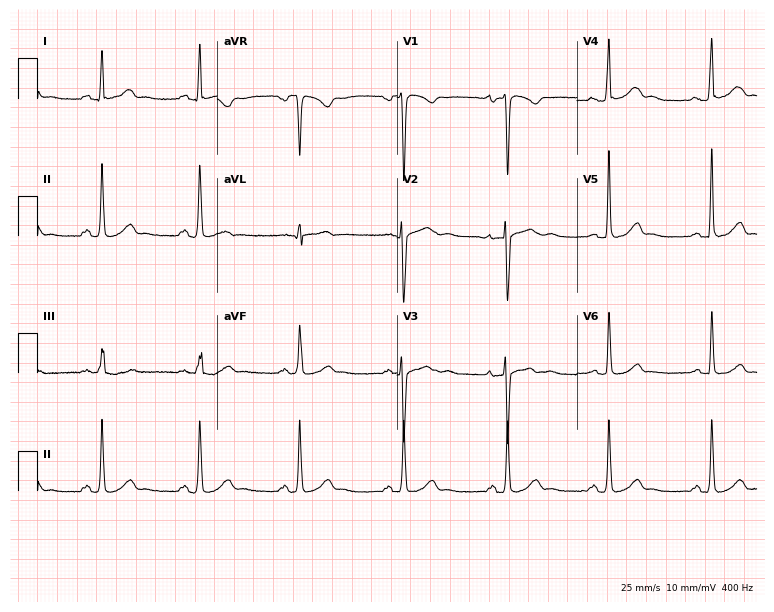
12-lead ECG from a female patient, 36 years old. No first-degree AV block, right bundle branch block, left bundle branch block, sinus bradycardia, atrial fibrillation or sinus tachycardia recorded for this tracing.